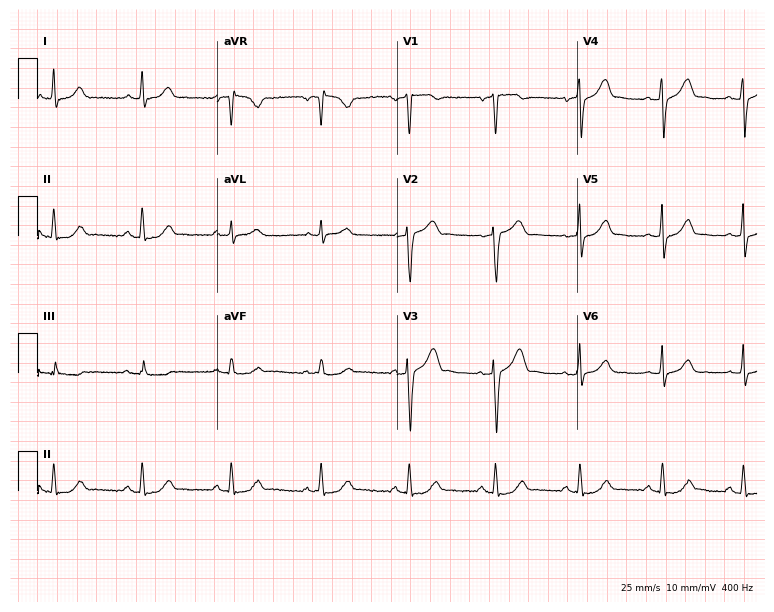
Standard 12-lead ECG recorded from a male patient, 53 years old. Read as a normal ECG.